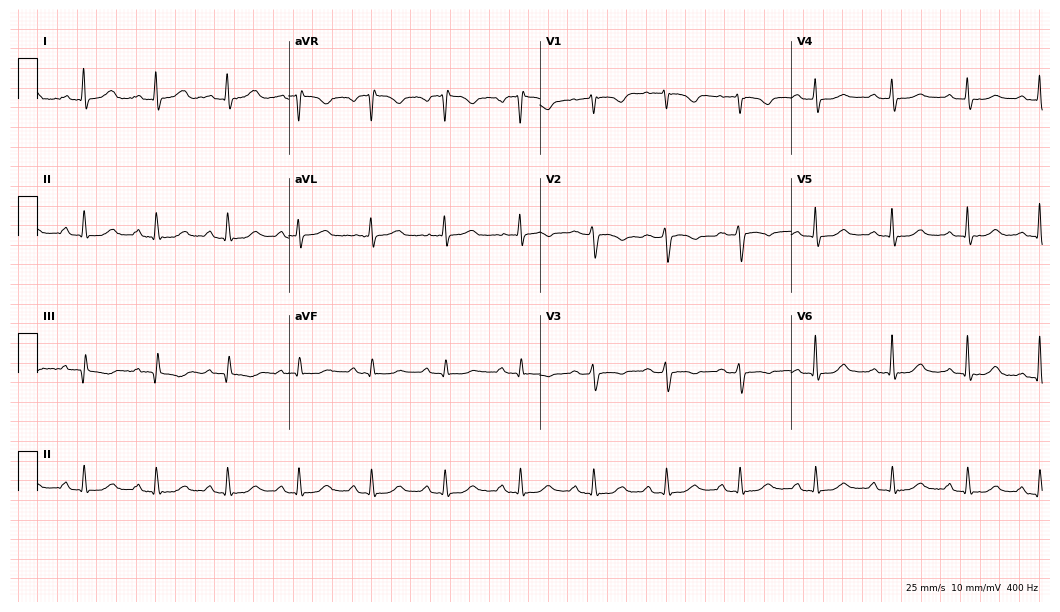
Resting 12-lead electrocardiogram (10.2-second recording at 400 Hz). Patient: a 42-year-old female. None of these six findings is recorded: first-degree AV block, right bundle branch block, left bundle branch block, sinus bradycardia, atrial fibrillation, sinus tachycardia.